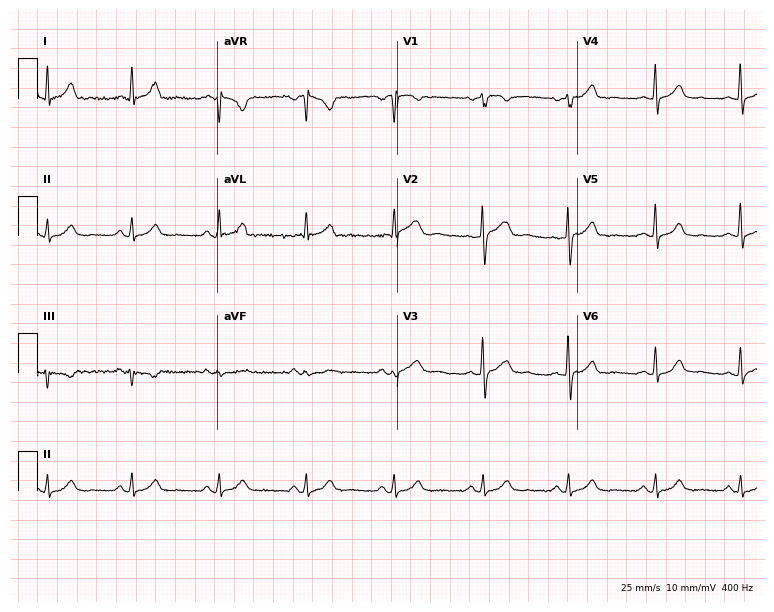
Electrocardiogram, a female, 44 years old. Overall reading on record: normal ECG.